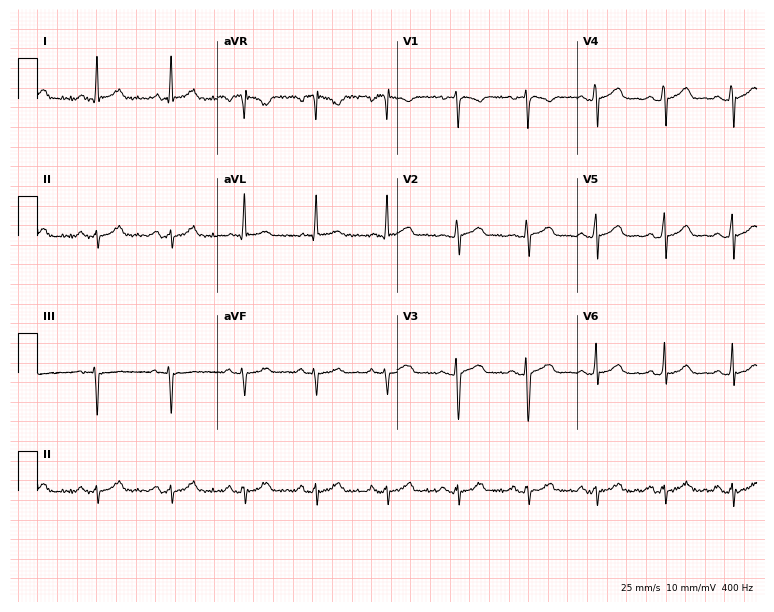
Electrocardiogram, a woman, 32 years old. Of the six screened findings (first-degree AV block, right bundle branch block, left bundle branch block, sinus bradycardia, atrial fibrillation, sinus tachycardia), none is recorded.